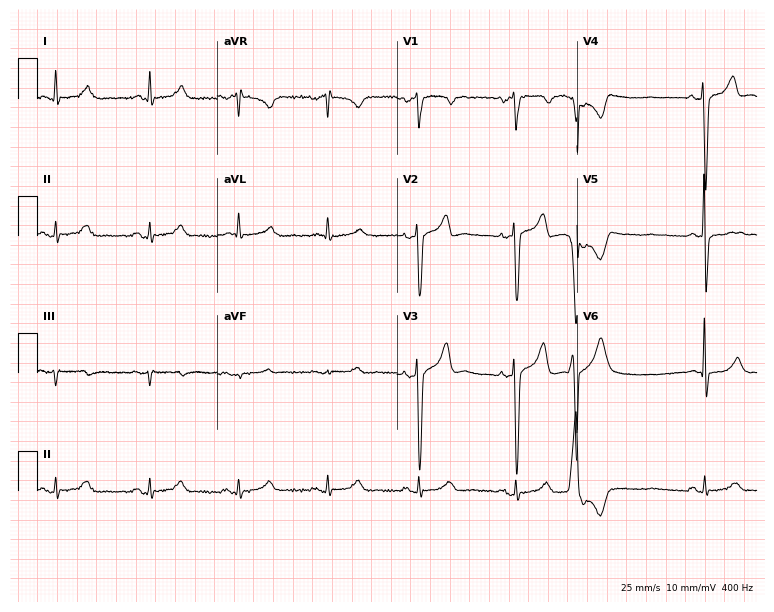
12-lead ECG from a 69-year-old male patient (7.3-second recording at 400 Hz). No first-degree AV block, right bundle branch block, left bundle branch block, sinus bradycardia, atrial fibrillation or sinus tachycardia recorded for this tracing. Other findings, if any, are not listed.